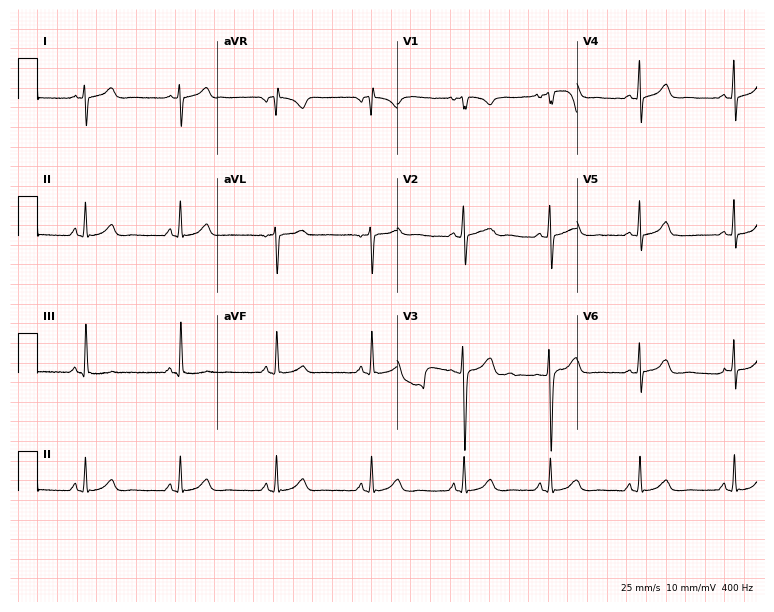
Electrocardiogram, a woman, 29 years old. Of the six screened findings (first-degree AV block, right bundle branch block (RBBB), left bundle branch block (LBBB), sinus bradycardia, atrial fibrillation (AF), sinus tachycardia), none is recorded.